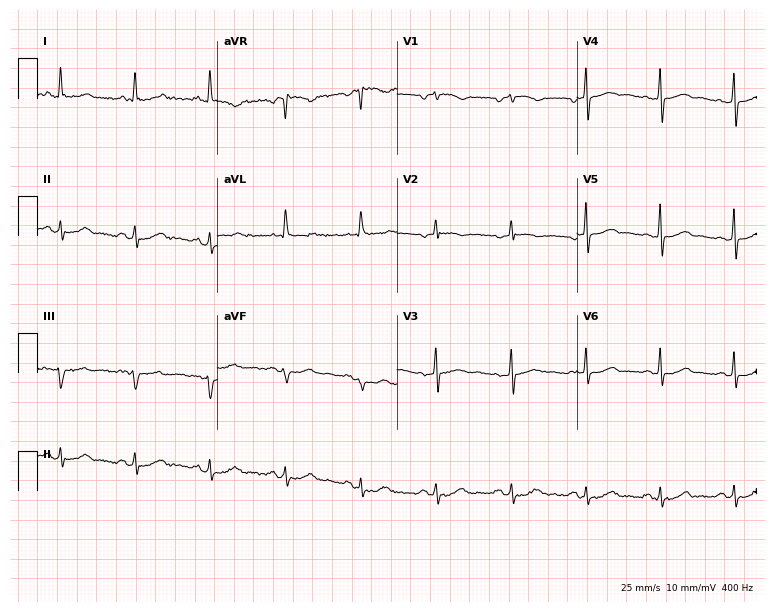
Resting 12-lead electrocardiogram (7.3-second recording at 400 Hz). Patient: a 78-year-old woman. None of these six findings is recorded: first-degree AV block, right bundle branch block, left bundle branch block, sinus bradycardia, atrial fibrillation, sinus tachycardia. Other findings, if any, are not listed.